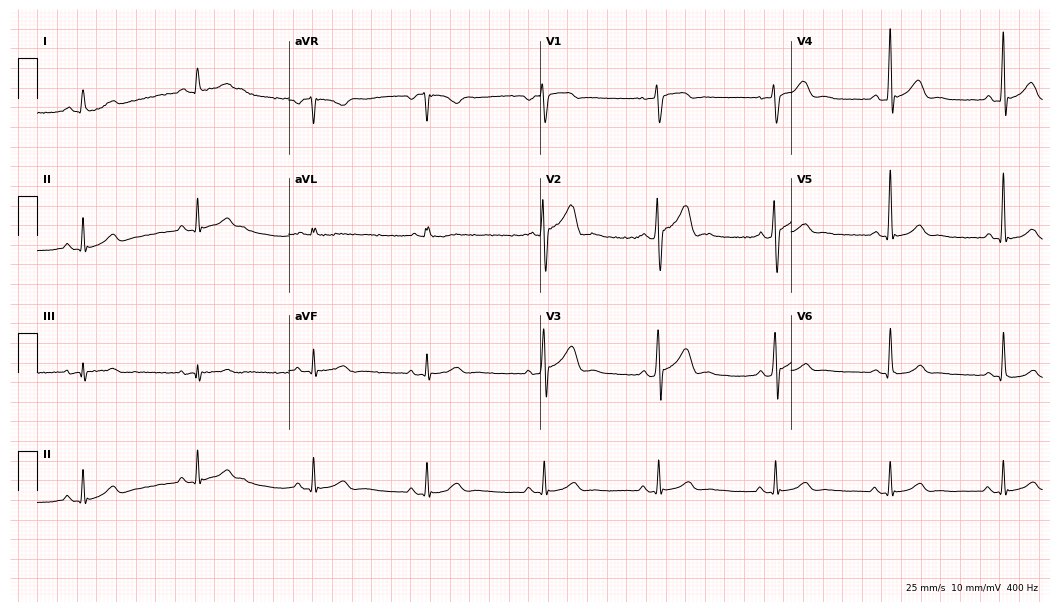
Resting 12-lead electrocardiogram. Patient: a man, 38 years old. Read as a normal ECG.